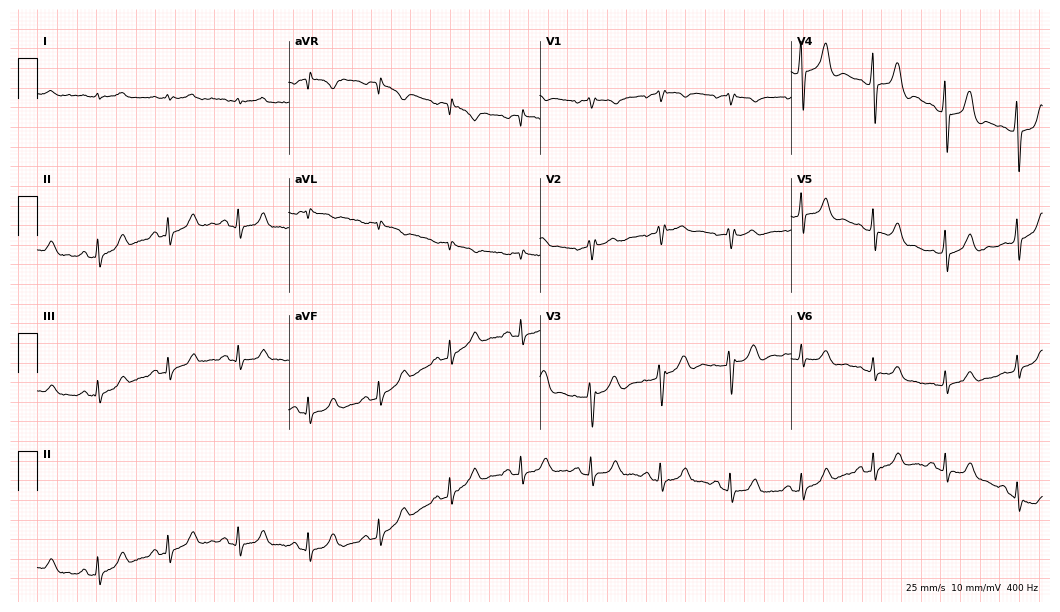
ECG — a 72-year-old male. Labelled as a normal ECG.